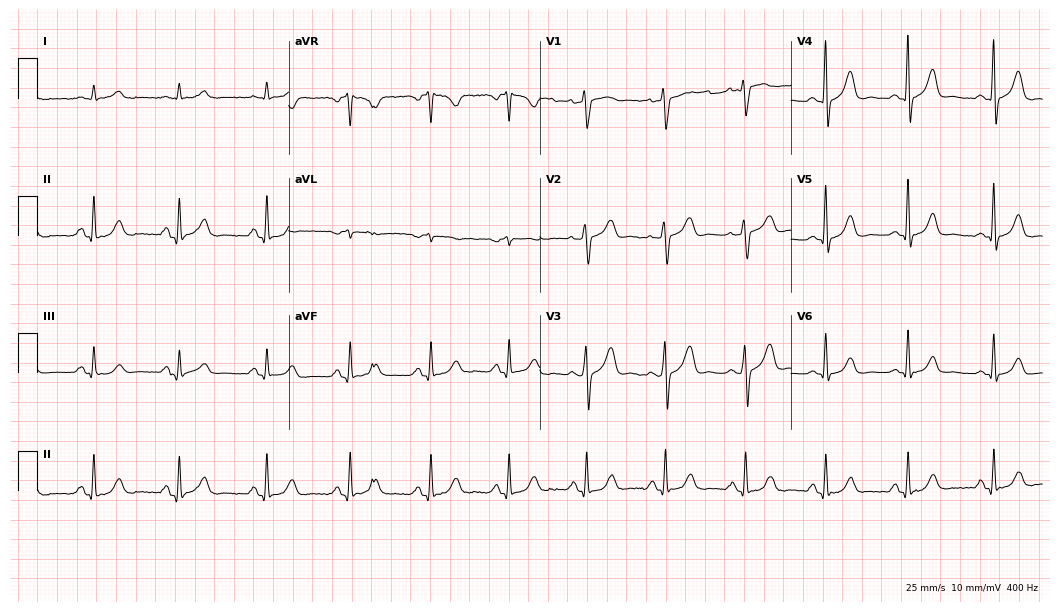
Standard 12-lead ECG recorded from an 82-year-old male patient. Read as a normal ECG.